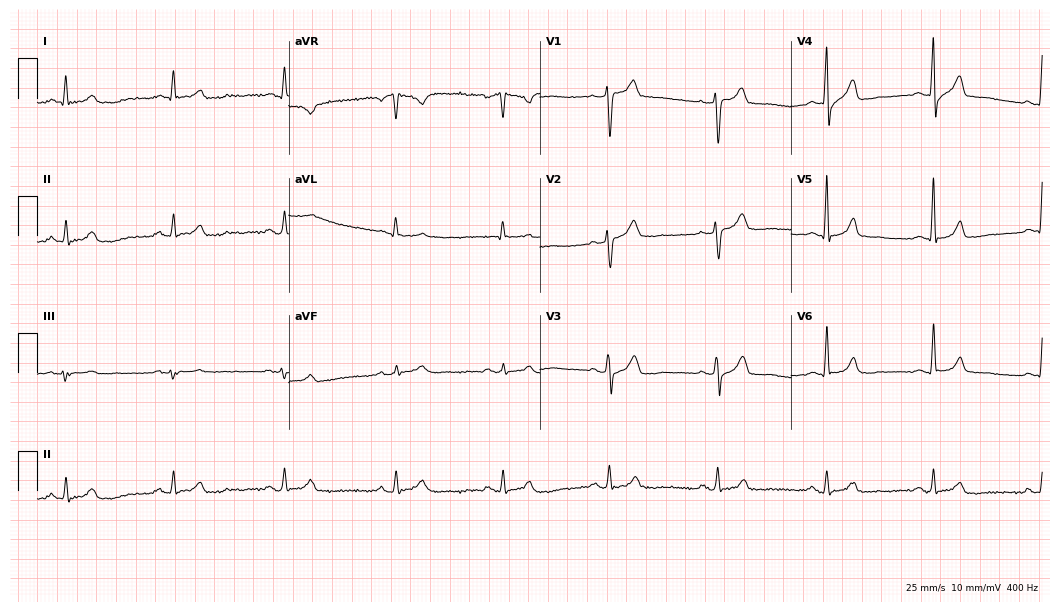
Electrocardiogram (10.2-second recording at 400 Hz), a male, 61 years old. Of the six screened findings (first-degree AV block, right bundle branch block (RBBB), left bundle branch block (LBBB), sinus bradycardia, atrial fibrillation (AF), sinus tachycardia), none is recorded.